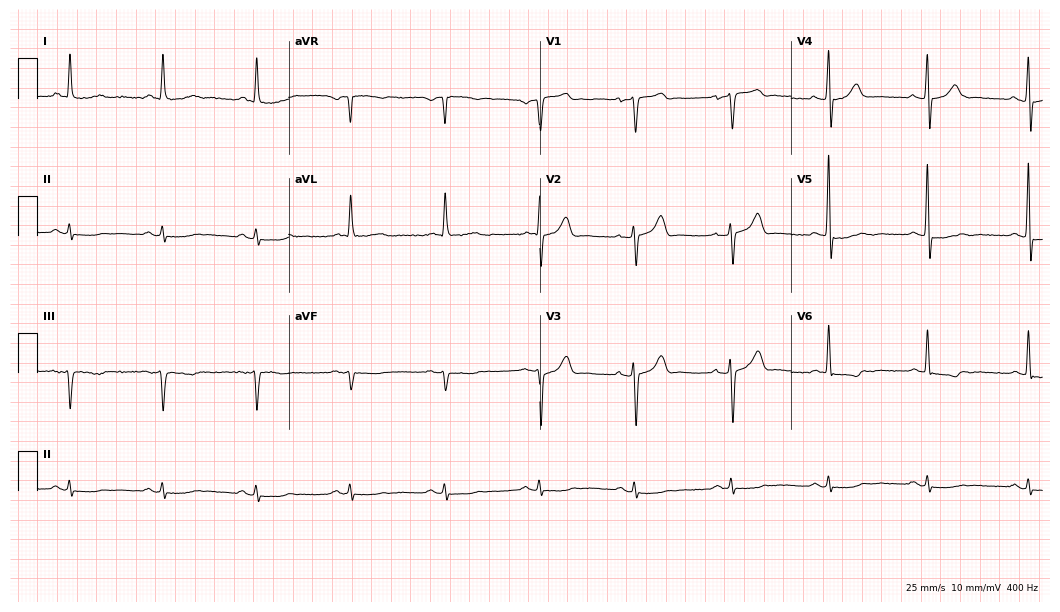
12-lead ECG from an 83-year-old man (10.2-second recording at 400 Hz). No first-degree AV block, right bundle branch block, left bundle branch block, sinus bradycardia, atrial fibrillation or sinus tachycardia recorded for this tracing. Only these six findings were labelled.